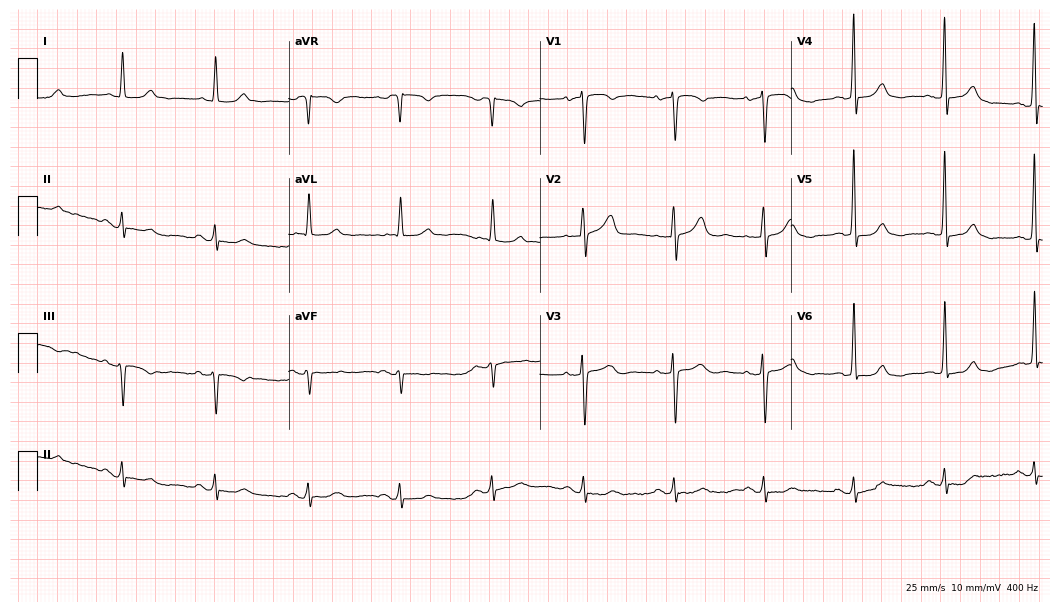
Electrocardiogram (10.2-second recording at 400 Hz), an 83-year-old woman. Overall reading on record: normal ECG.